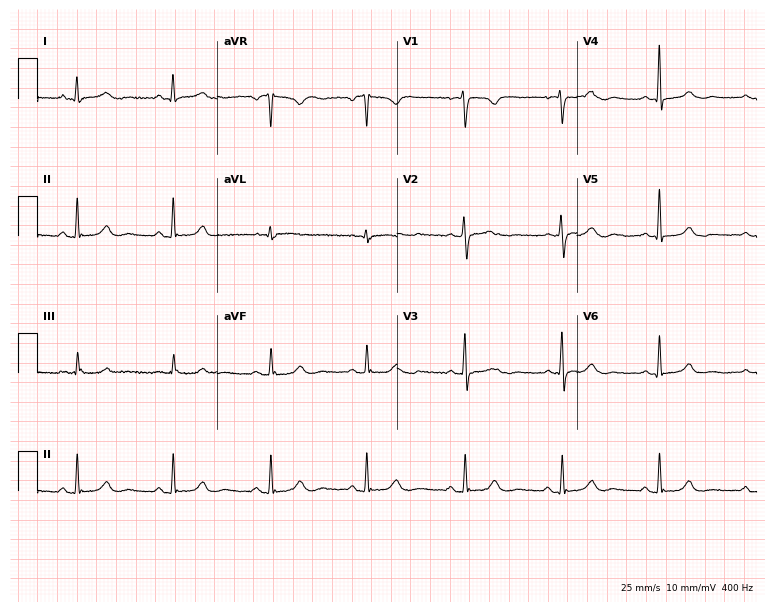
Resting 12-lead electrocardiogram (7.3-second recording at 400 Hz). Patient: a female, 41 years old. None of these six findings is recorded: first-degree AV block, right bundle branch block, left bundle branch block, sinus bradycardia, atrial fibrillation, sinus tachycardia.